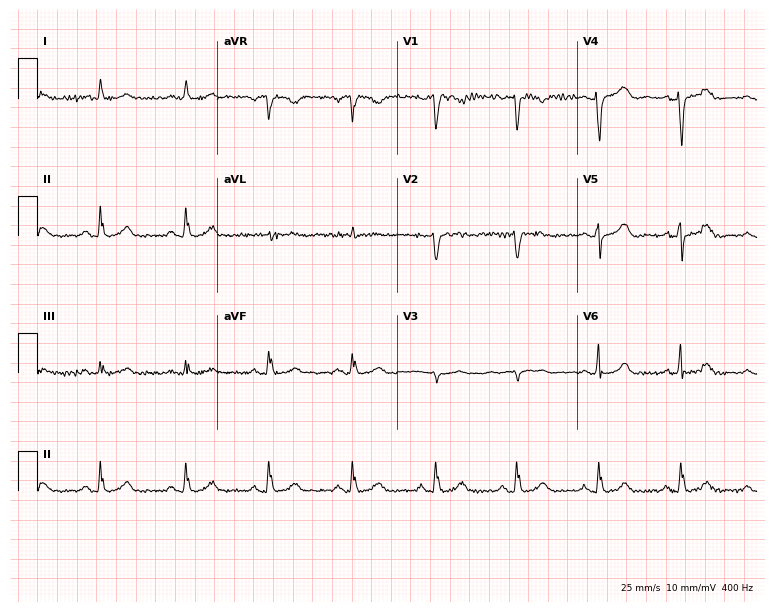
Standard 12-lead ECG recorded from a 61-year-old woman (7.3-second recording at 400 Hz). None of these six findings is recorded: first-degree AV block, right bundle branch block, left bundle branch block, sinus bradycardia, atrial fibrillation, sinus tachycardia.